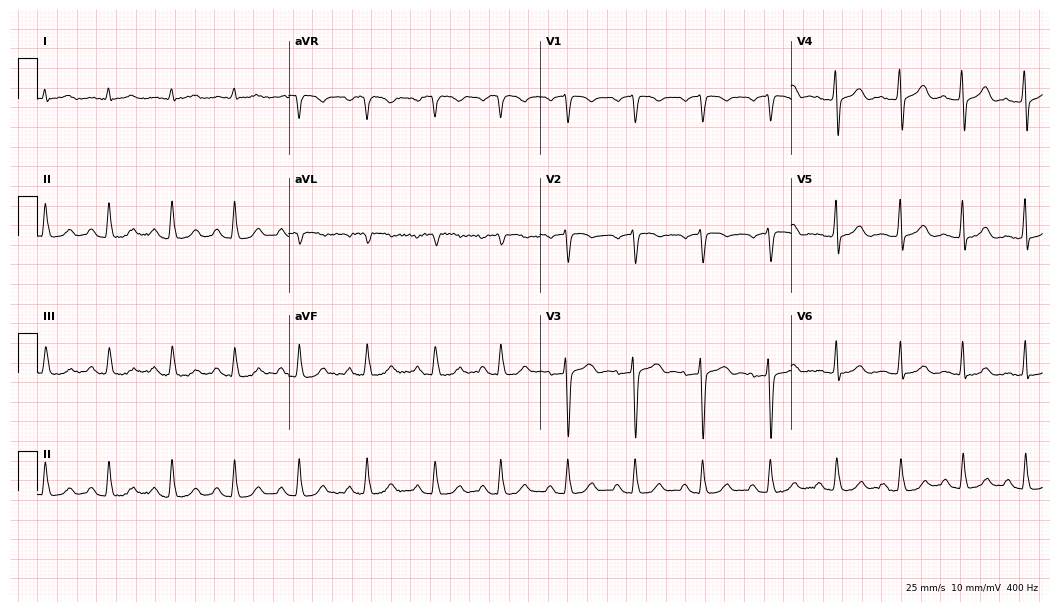
ECG — a 65-year-old male. Labelled as a normal ECG.